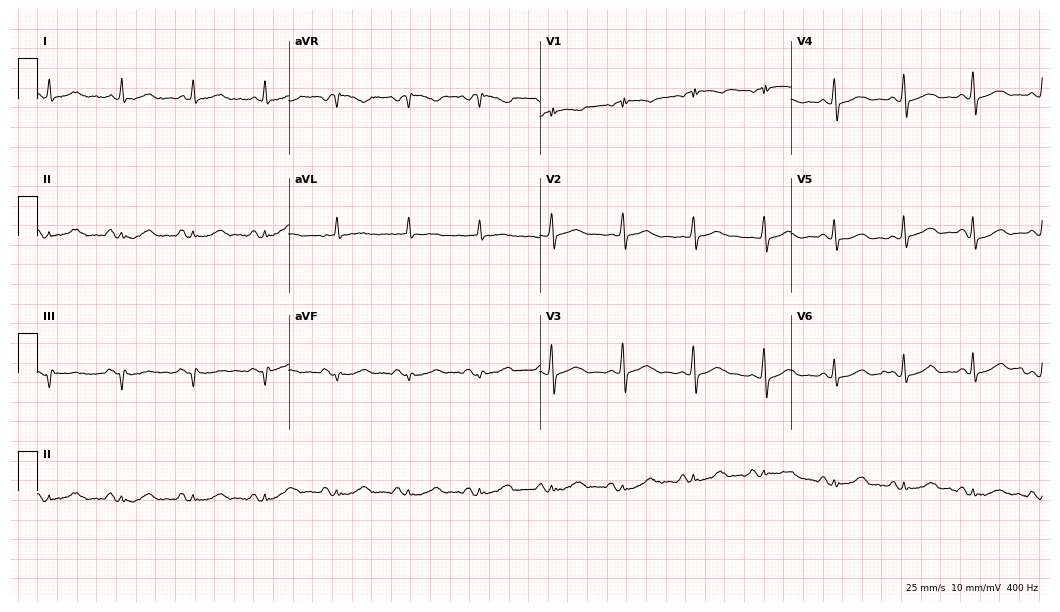
12-lead ECG from a woman, 75 years old. Recorded interpretation: within normal limits.